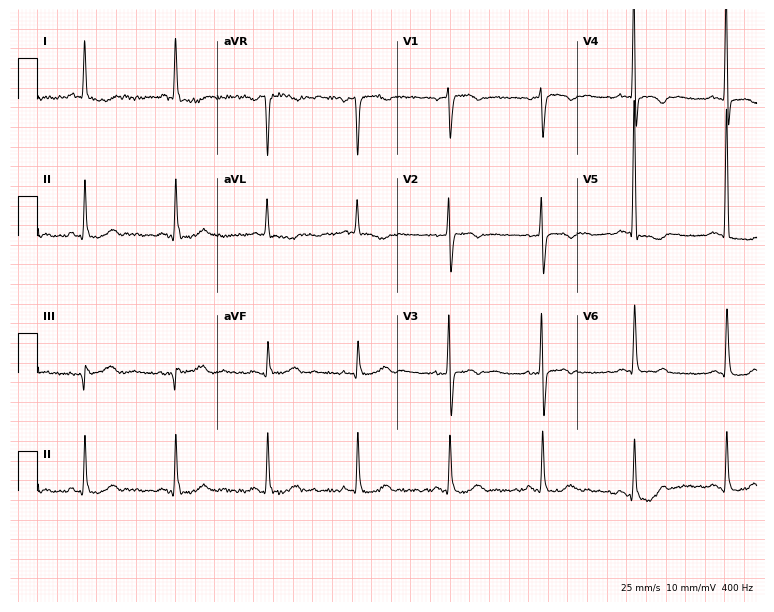
Resting 12-lead electrocardiogram (7.3-second recording at 400 Hz). Patient: a woman, 83 years old. None of these six findings is recorded: first-degree AV block, right bundle branch block, left bundle branch block, sinus bradycardia, atrial fibrillation, sinus tachycardia. Only these six findings were labelled.